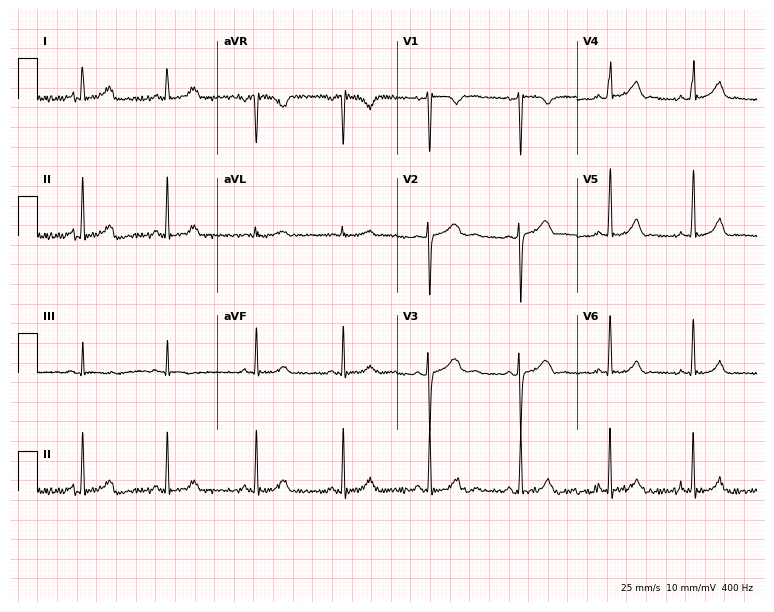
Resting 12-lead electrocardiogram (7.3-second recording at 400 Hz). Patient: a female, 18 years old. None of these six findings is recorded: first-degree AV block, right bundle branch block, left bundle branch block, sinus bradycardia, atrial fibrillation, sinus tachycardia. Findings outside these six are not listed.